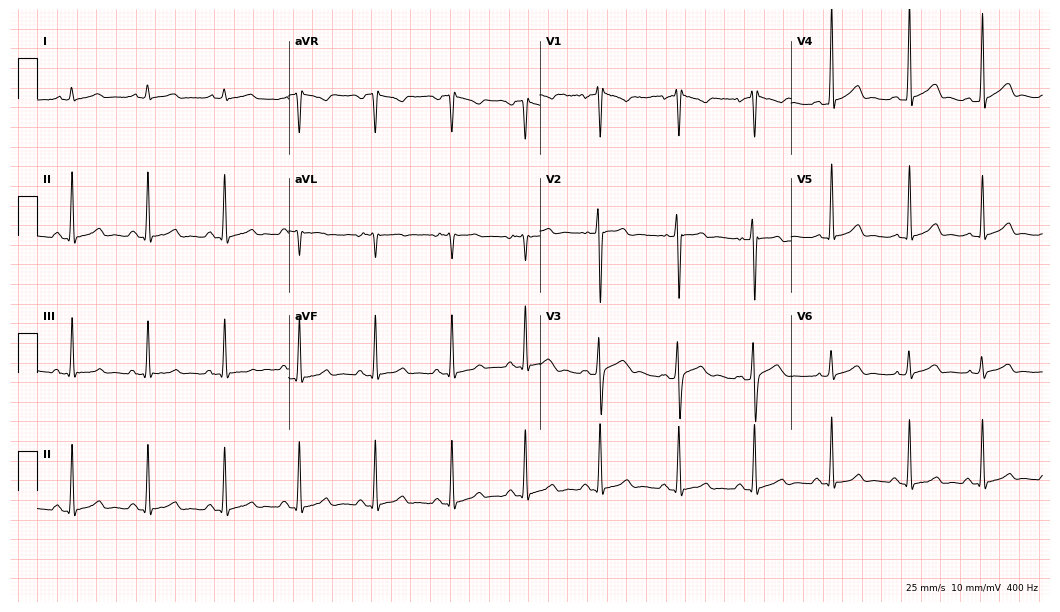
12-lead ECG from a 31-year-old male patient. No first-degree AV block, right bundle branch block (RBBB), left bundle branch block (LBBB), sinus bradycardia, atrial fibrillation (AF) or sinus tachycardia recorded for this tracing. Only these six findings were labelled.